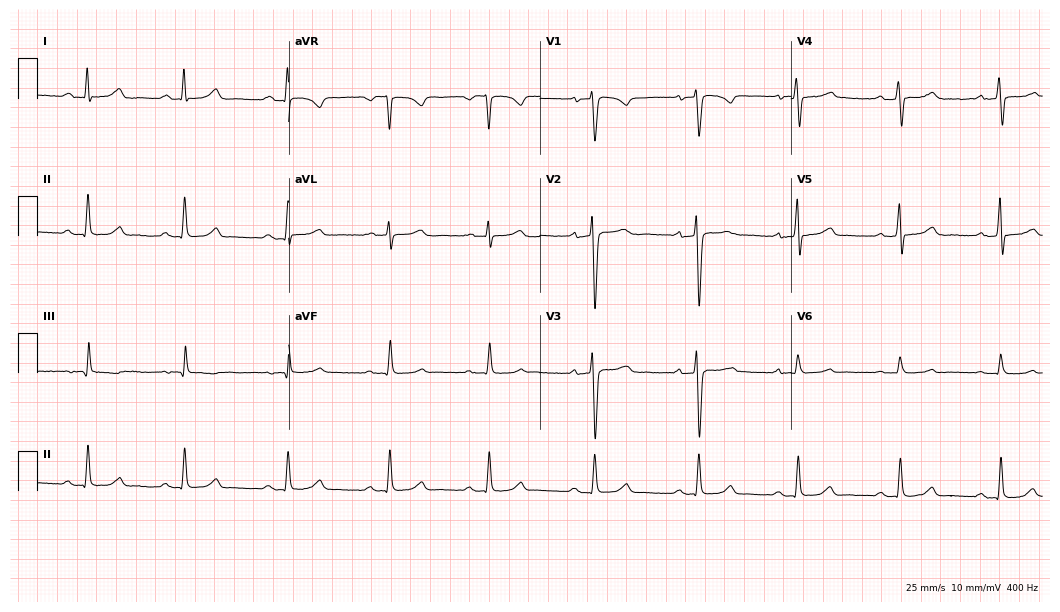
Resting 12-lead electrocardiogram. Patient: a 35-year-old male. Read as a normal ECG.